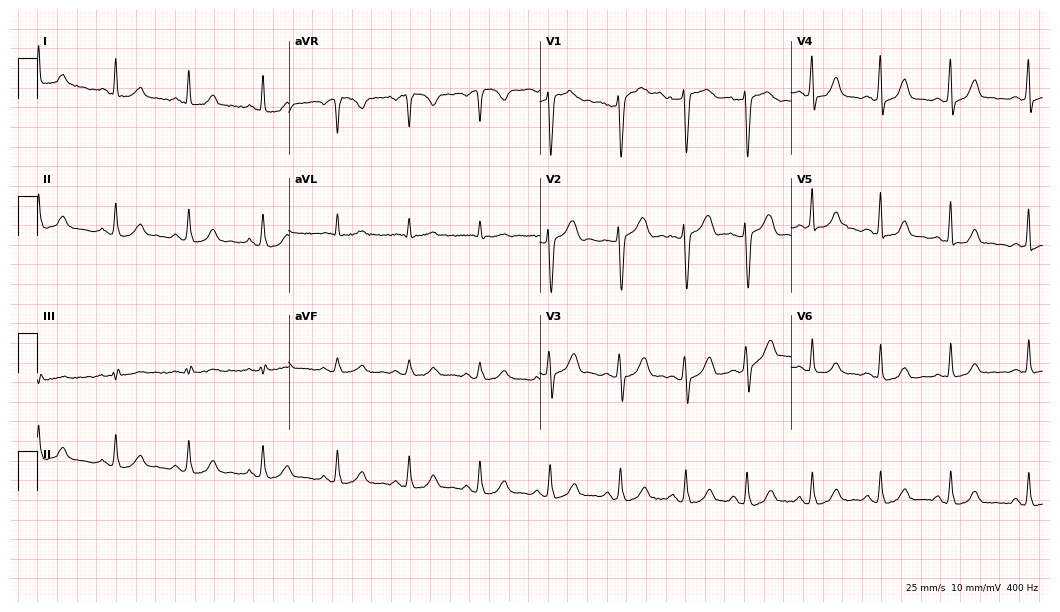
Resting 12-lead electrocardiogram. Patient: a 32-year-old woman. Read as a normal ECG.